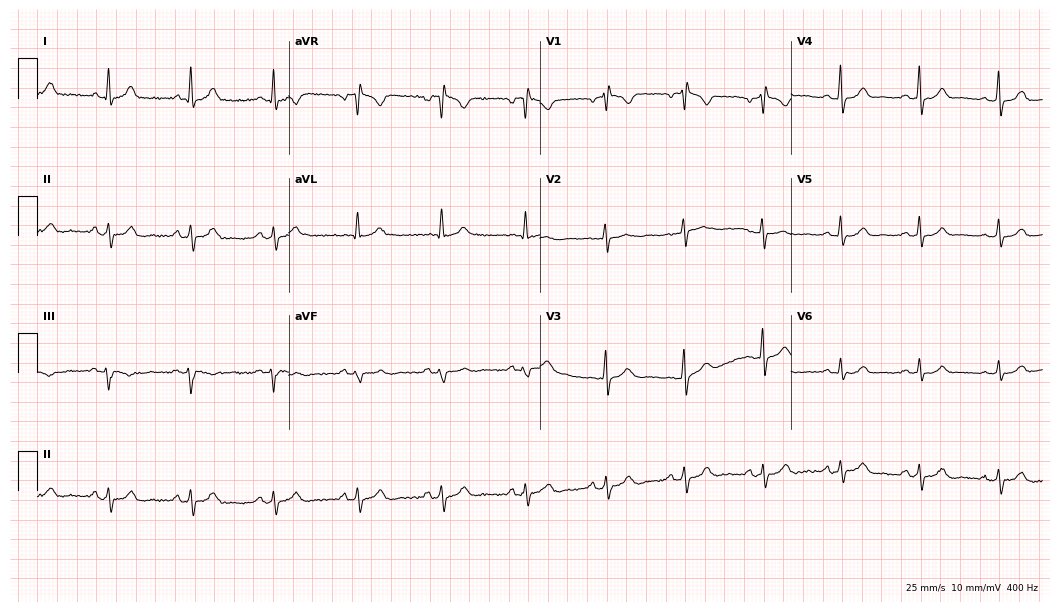
Resting 12-lead electrocardiogram (10.2-second recording at 400 Hz). Patient: a female, 40 years old. None of these six findings is recorded: first-degree AV block, right bundle branch block, left bundle branch block, sinus bradycardia, atrial fibrillation, sinus tachycardia. Other findings, if any, are not listed.